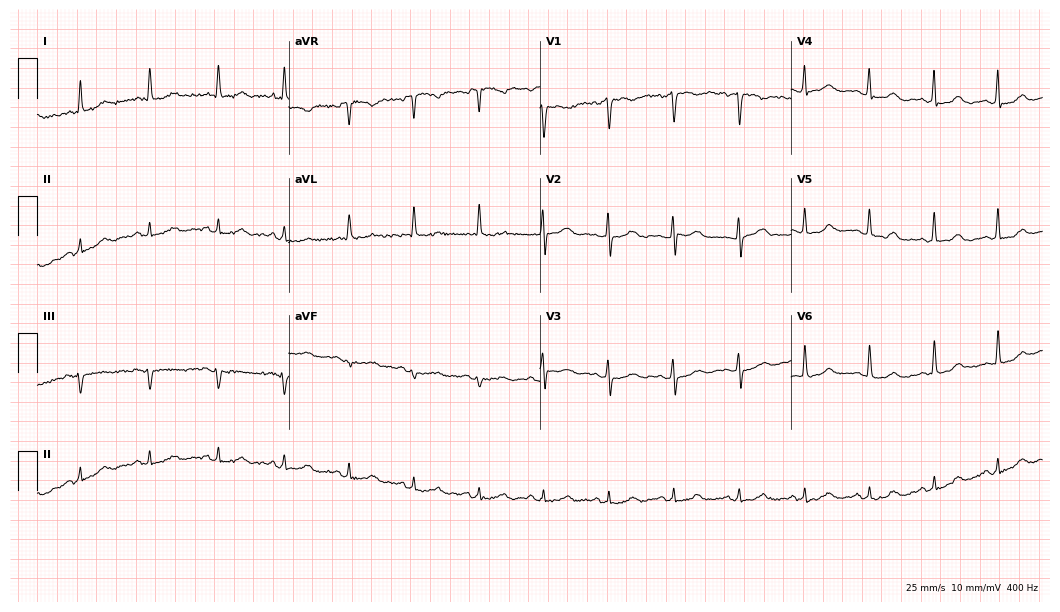
12-lead ECG from a female patient, 61 years old (10.2-second recording at 400 Hz). Recorded interpretation: within normal limits.